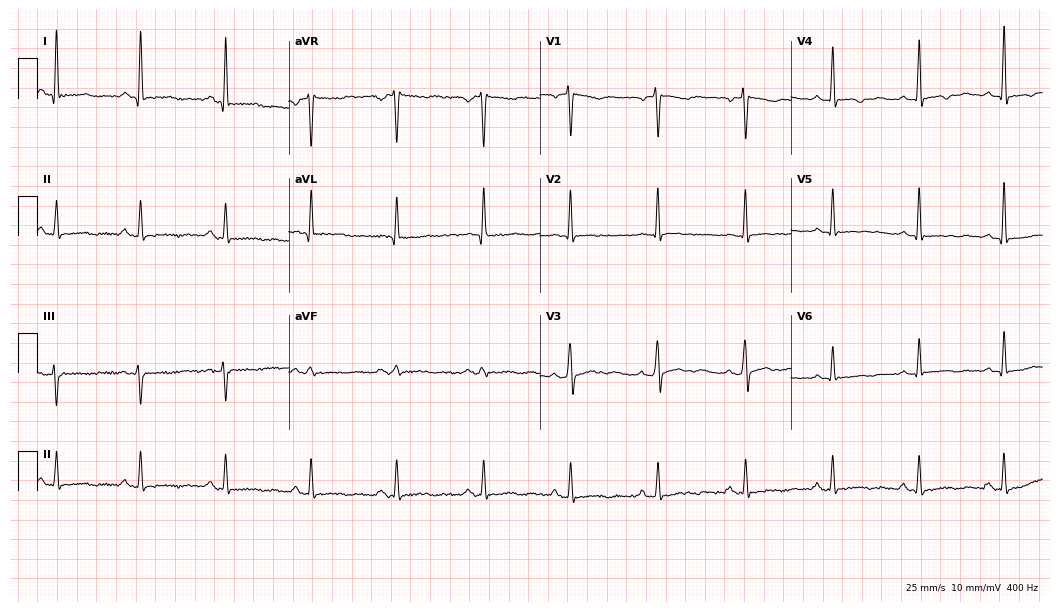
12-lead ECG from a female patient, 45 years old. Screened for six findings — first-degree AV block, right bundle branch block, left bundle branch block, sinus bradycardia, atrial fibrillation, sinus tachycardia — none is recorded. Findings outside these six are not listed.